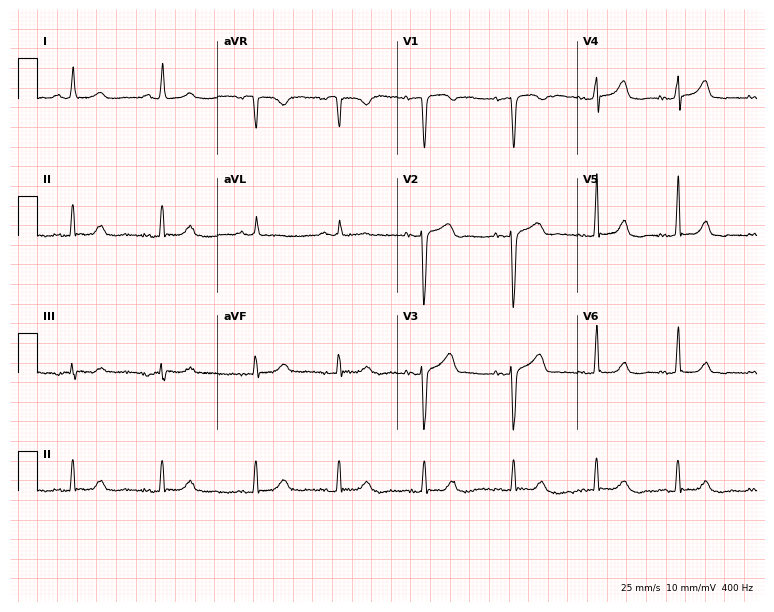
Standard 12-lead ECG recorded from a female, 36 years old (7.3-second recording at 400 Hz). None of these six findings is recorded: first-degree AV block, right bundle branch block, left bundle branch block, sinus bradycardia, atrial fibrillation, sinus tachycardia.